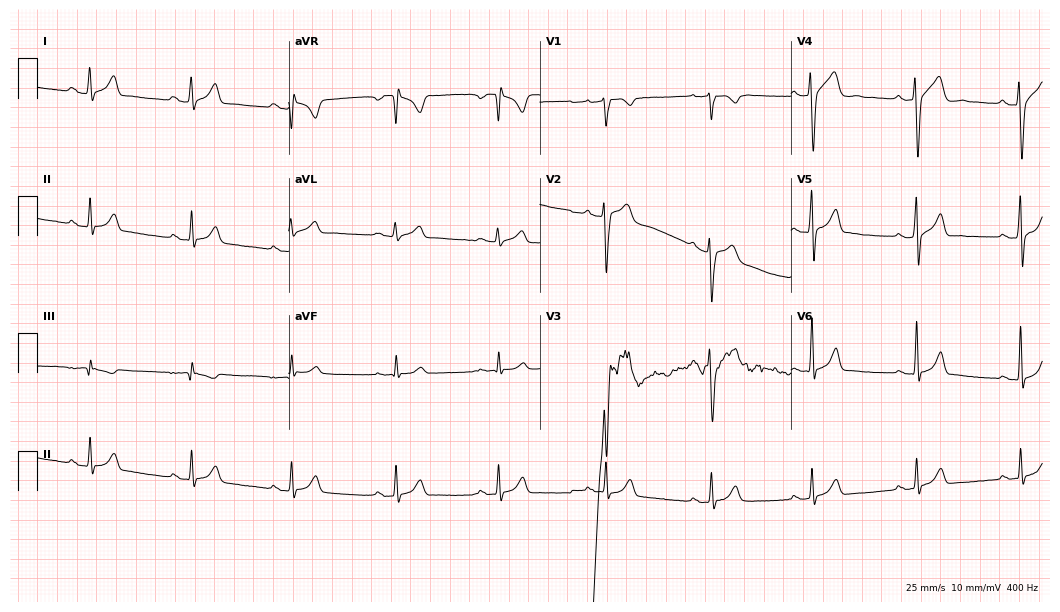
Resting 12-lead electrocardiogram. Patient: a 29-year-old male. Read as a normal ECG.